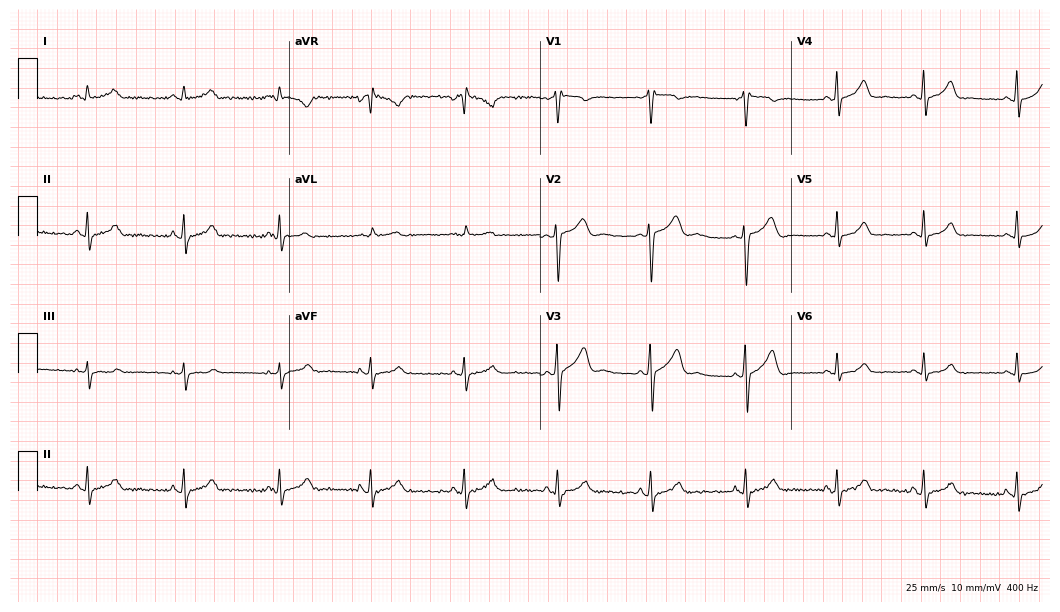
ECG — an 18-year-old male patient. Labelled as a normal ECG.